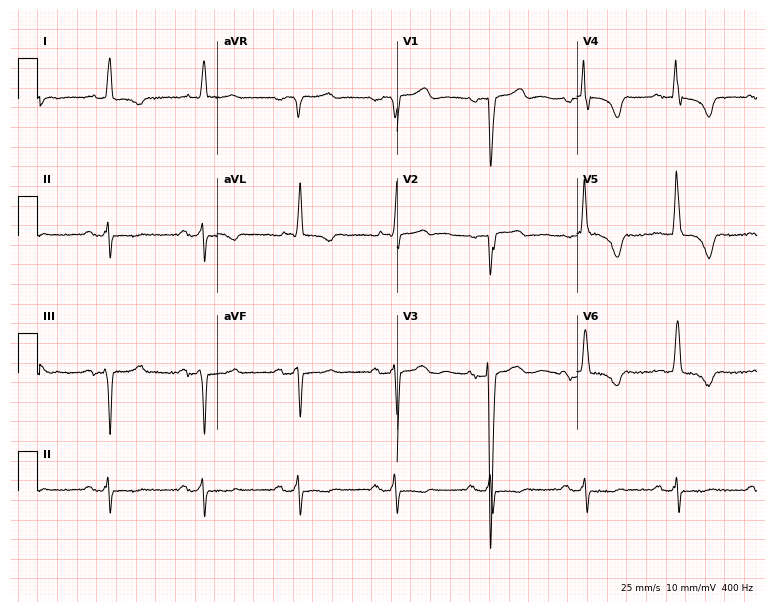
Standard 12-lead ECG recorded from a 73-year-old male (7.3-second recording at 400 Hz). None of these six findings is recorded: first-degree AV block, right bundle branch block (RBBB), left bundle branch block (LBBB), sinus bradycardia, atrial fibrillation (AF), sinus tachycardia.